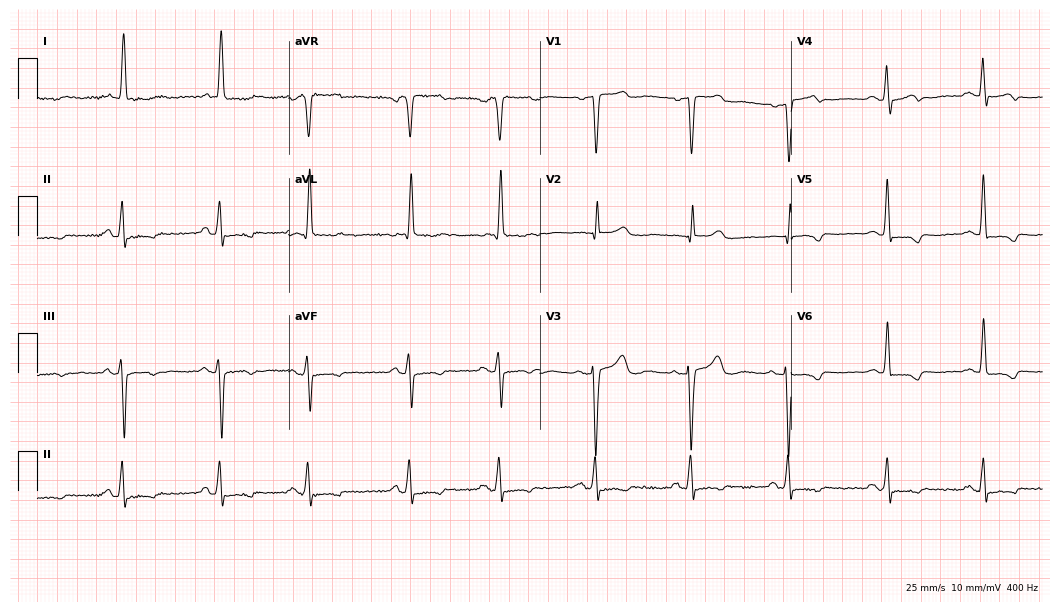
Resting 12-lead electrocardiogram. Patient: an 85-year-old woman. None of these six findings is recorded: first-degree AV block, right bundle branch block, left bundle branch block, sinus bradycardia, atrial fibrillation, sinus tachycardia.